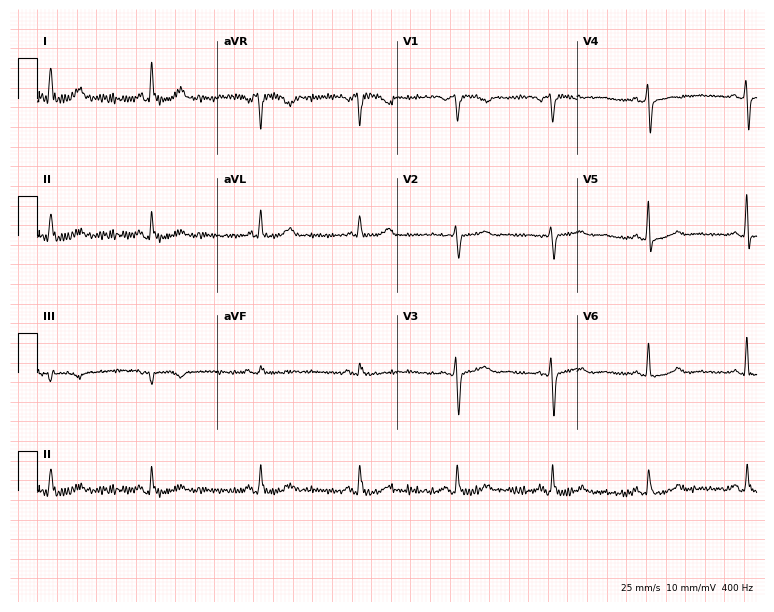
Resting 12-lead electrocardiogram (7.3-second recording at 400 Hz). Patient: a woman, 63 years old. Read as a normal ECG.